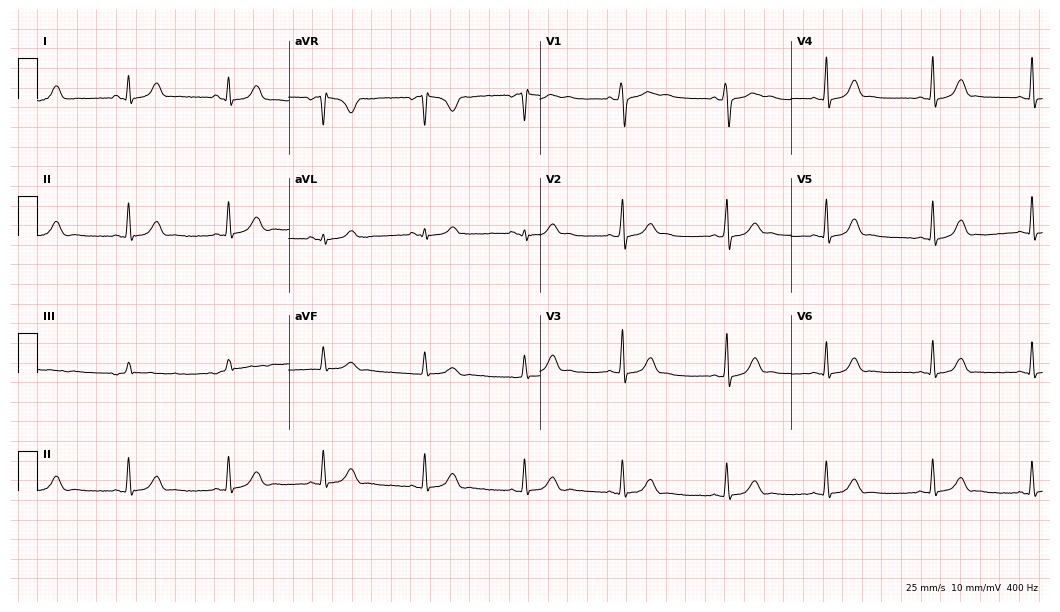
12-lead ECG (10.2-second recording at 400 Hz) from an 18-year-old female patient. Labelled as a normal ECG.